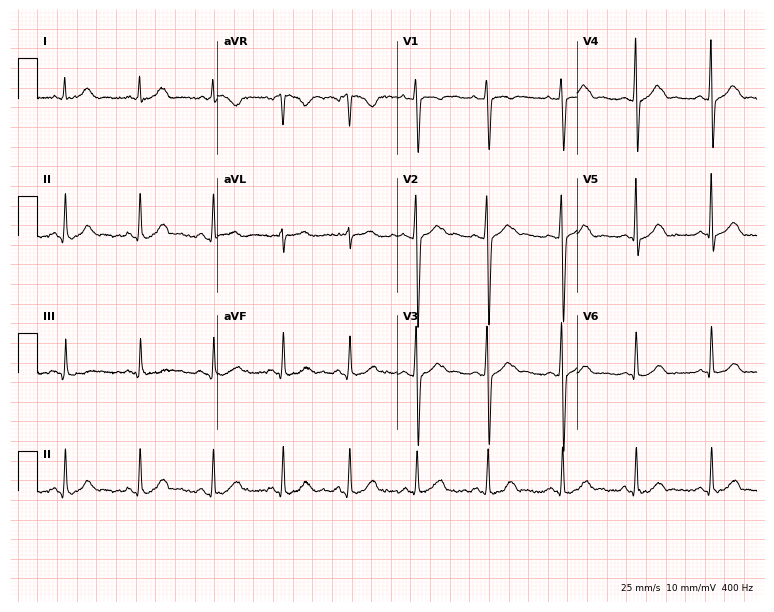
Standard 12-lead ECG recorded from a female, 31 years old (7.3-second recording at 400 Hz). None of these six findings is recorded: first-degree AV block, right bundle branch block (RBBB), left bundle branch block (LBBB), sinus bradycardia, atrial fibrillation (AF), sinus tachycardia. Only these six findings were labelled.